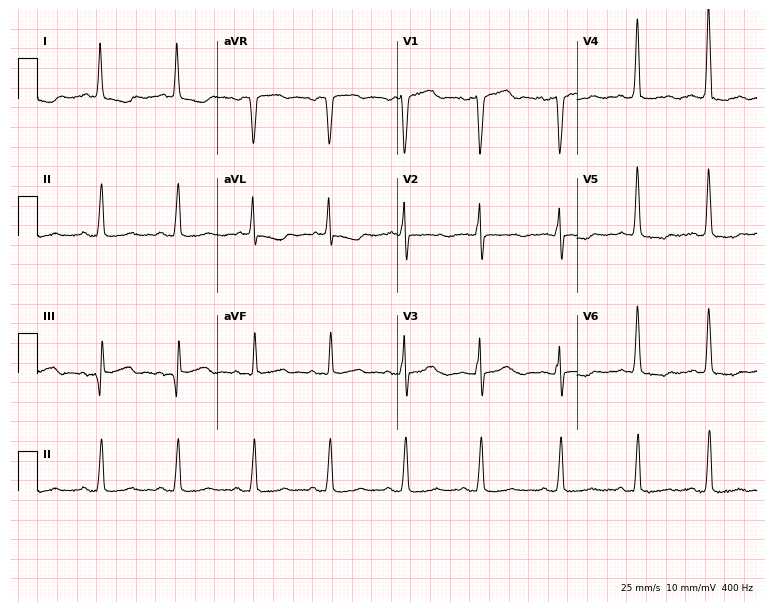
12-lead ECG from a 69-year-old female patient. Screened for six findings — first-degree AV block, right bundle branch block, left bundle branch block, sinus bradycardia, atrial fibrillation, sinus tachycardia — none is recorded.